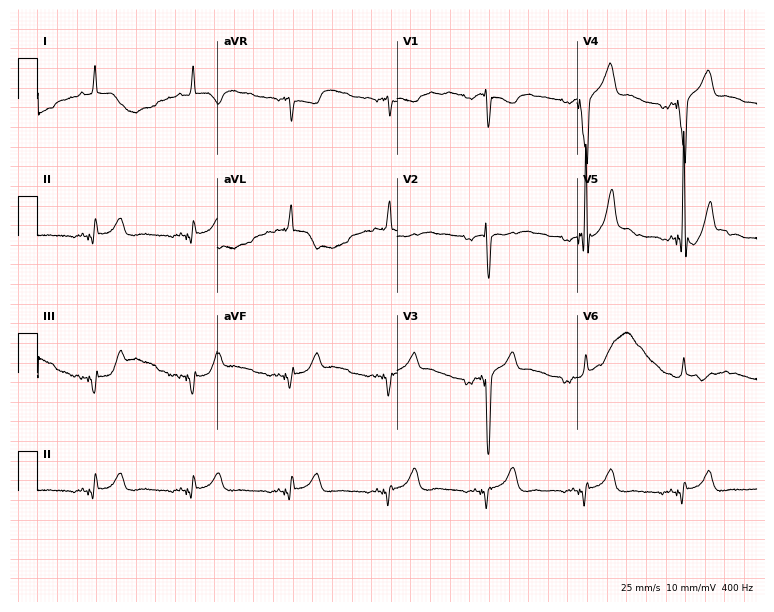
12-lead ECG from a 69-year-old man. No first-degree AV block, right bundle branch block, left bundle branch block, sinus bradycardia, atrial fibrillation or sinus tachycardia recorded for this tracing.